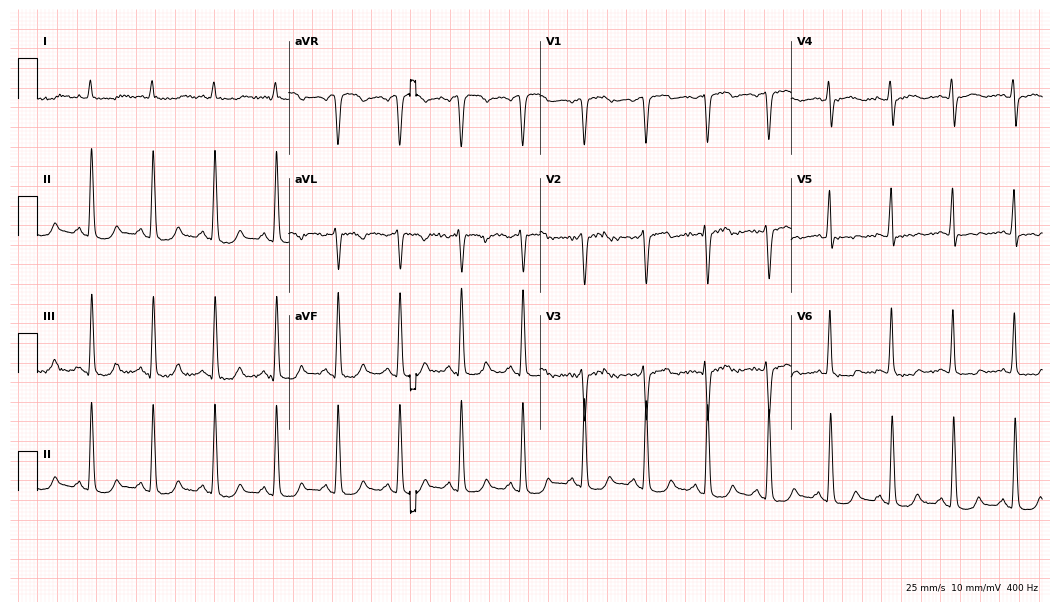
Resting 12-lead electrocardiogram (10.2-second recording at 400 Hz). Patient: a man, 77 years old. None of these six findings is recorded: first-degree AV block, right bundle branch block, left bundle branch block, sinus bradycardia, atrial fibrillation, sinus tachycardia. Findings outside these six are not listed.